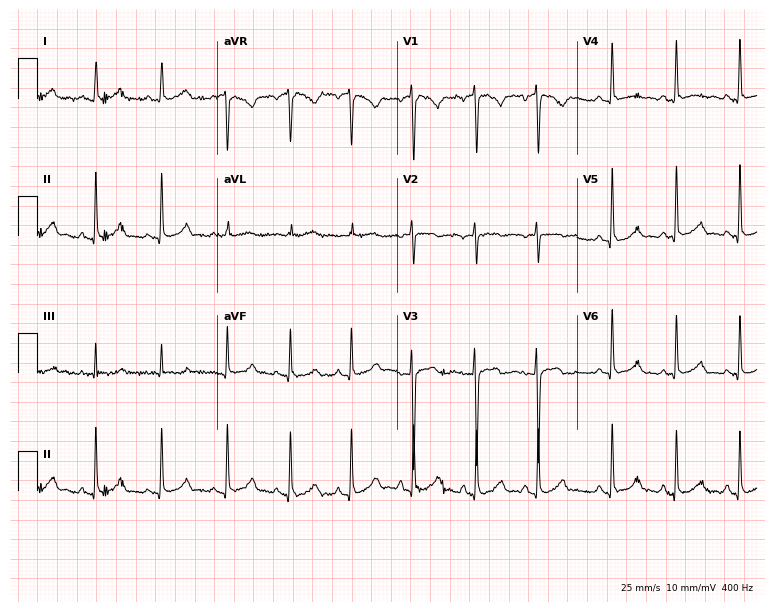
Standard 12-lead ECG recorded from a female, 18 years old (7.3-second recording at 400 Hz). None of these six findings is recorded: first-degree AV block, right bundle branch block (RBBB), left bundle branch block (LBBB), sinus bradycardia, atrial fibrillation (AF), sinus tachycardia. Other findings, if any, are not listed.